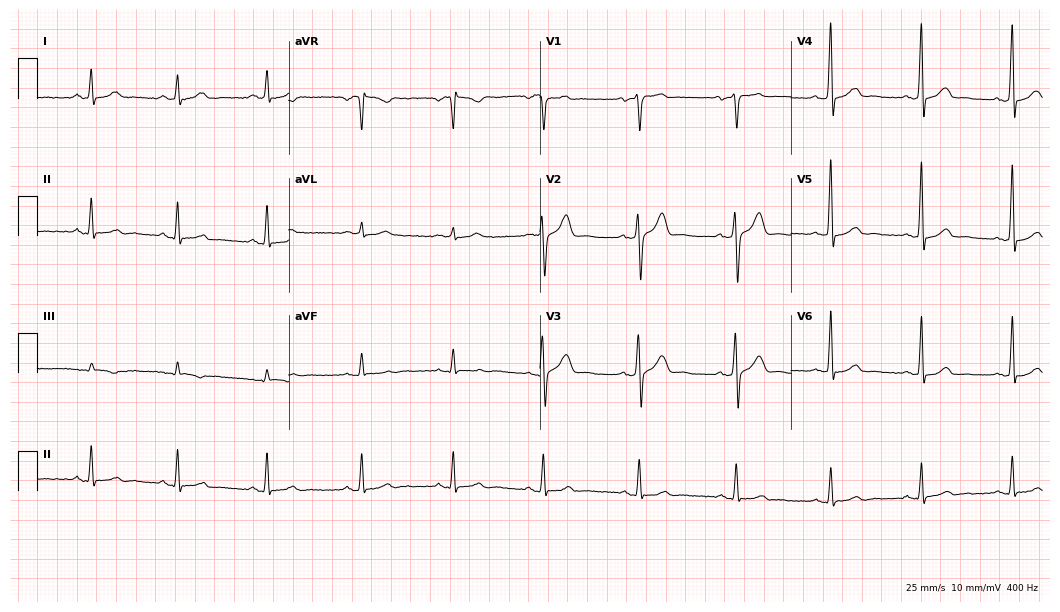
Standard 12-lead ECG recorded from a female, 49 years old. Read as a normal ECG.